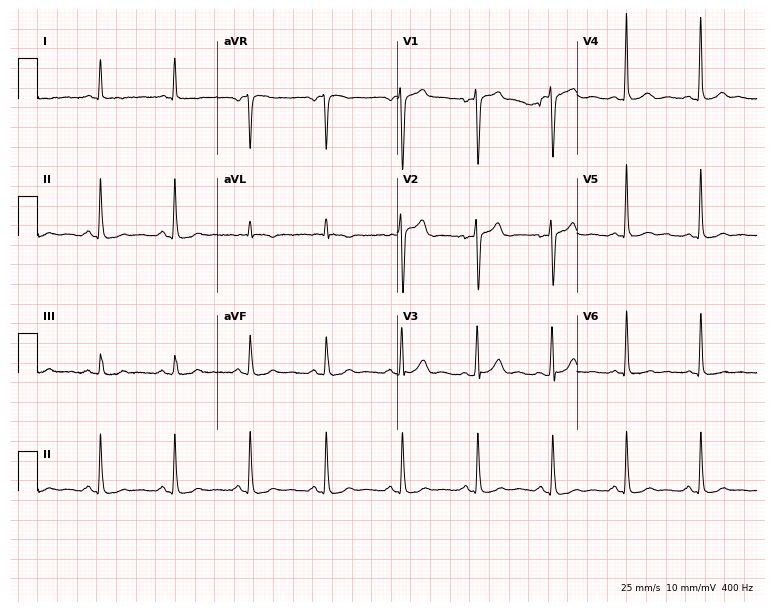
12-lead ECG from a 46-year-old male patient (7.3-second recording at 400 Hz). No first-degree AV block, right bundle branch block, left bundle branch block, sinus bradycardia, atrial fibrillation or sinus tachycardia recorded for this tracing. Only these six findings were labelled.